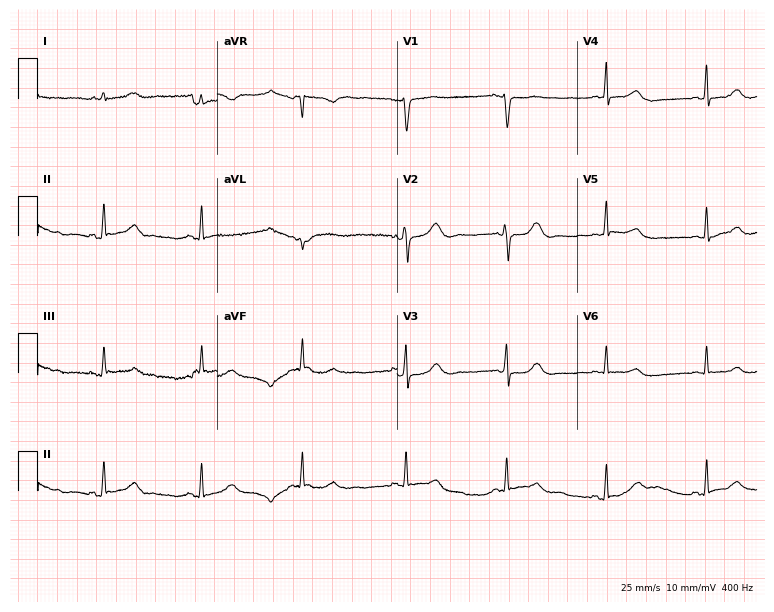
Electrocardiogram (7.3-second recording at 400 Hz), a 50-year-old female patient. Of the six screened findings (first-degree AV block, right bundle branch block (RBBB), left bundle branch block (LBBB), sinus bradycardia, atrial fibrillation (AF), sinus tachycardia), none is recorded. Only these six findings were labelled.